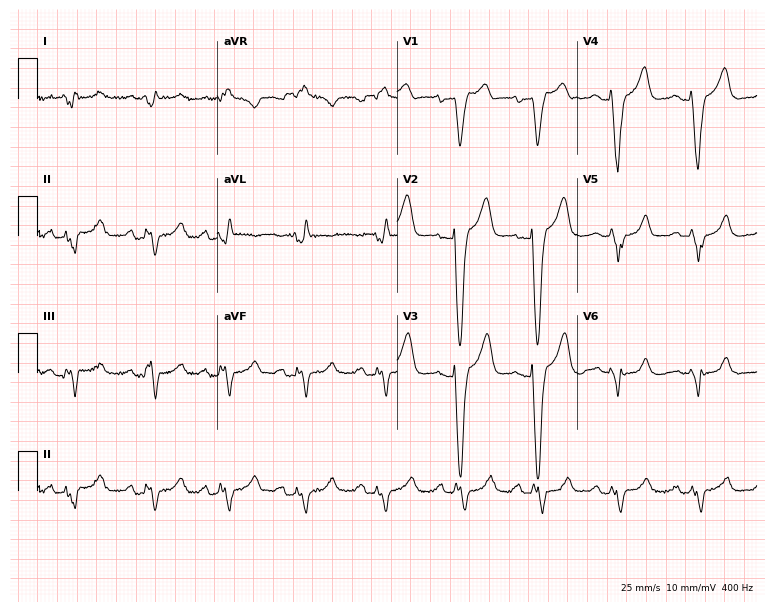
Electrocardiogram, a female patient, 79 years old. Of the six screened findings (first-degree AV block, right bundle branch block (RBBB), left bundle branch block (LBBB), sinus bradycardia, atrial fibrillation (AF), sinus tachycardia), none is recorded. Only these six findings were labelled.